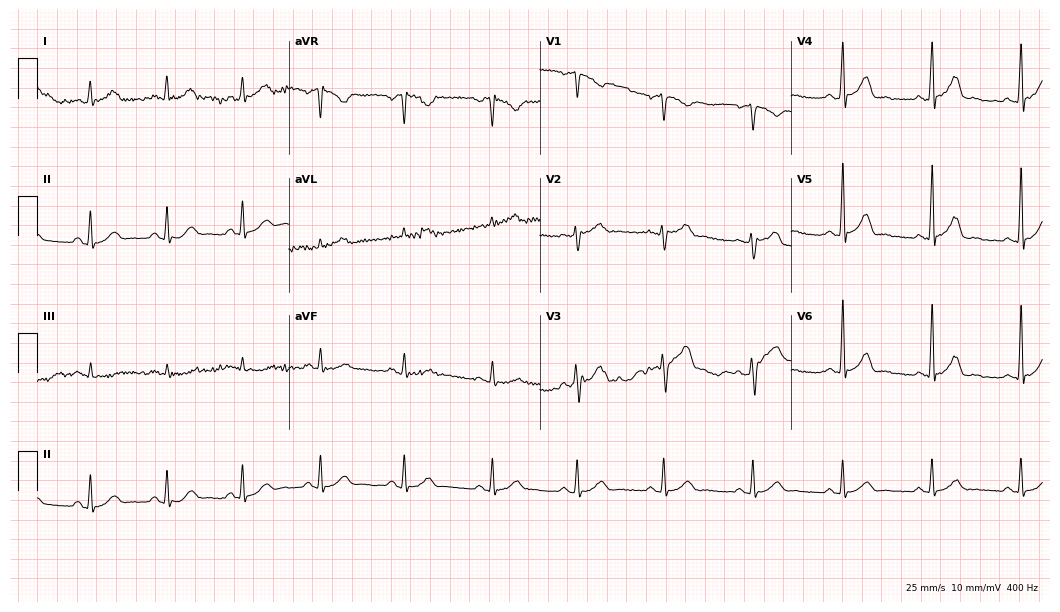
Resting 12-lead electrocardiogram. Patient: a male, 48 years old. Read as a normal ECG.